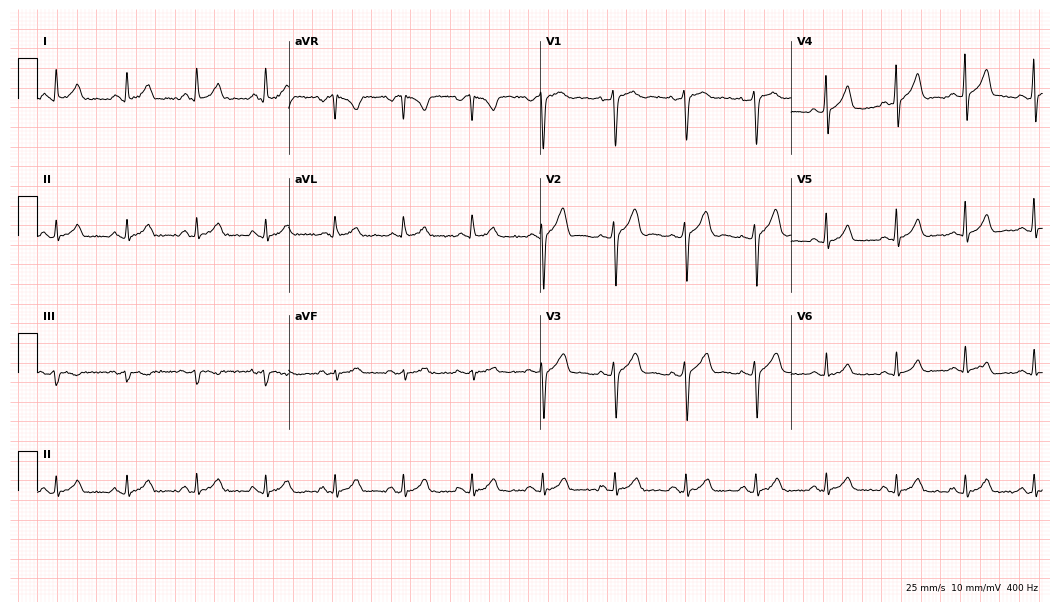
12-lead ECG (10.2-second recording at 400 Hz) from a 50-year-old male. Labelled as a normal ECG.